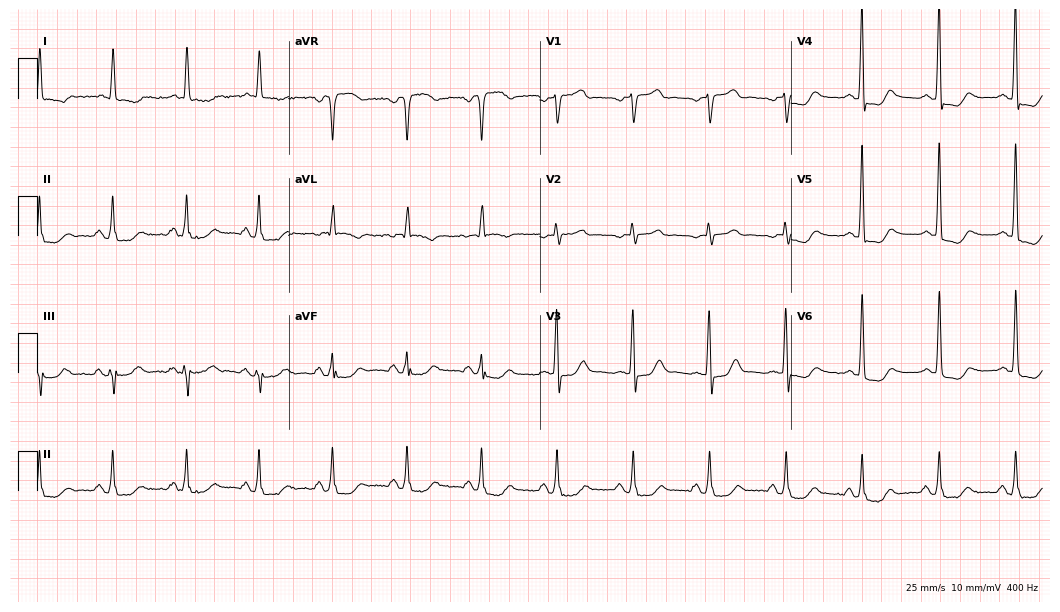
ECG — a woman, 63 years old. Labelled as a normal ECG.